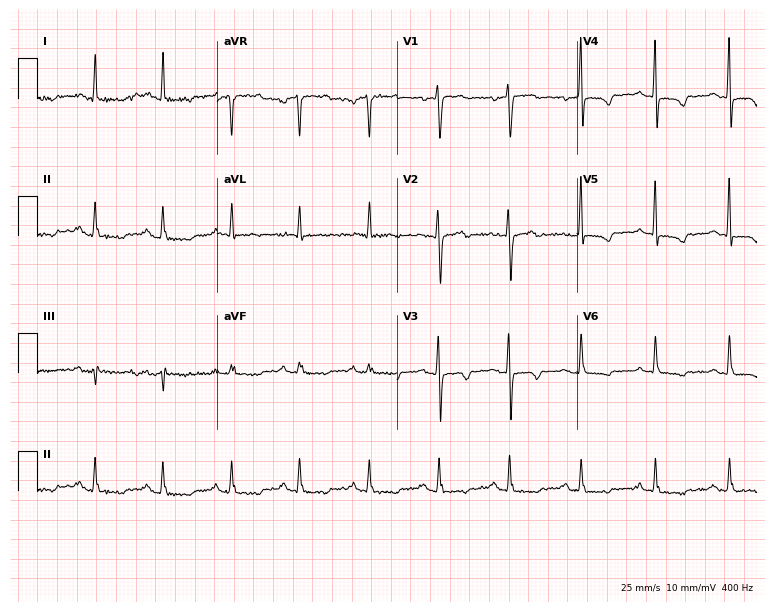
12-lead ECG (7.3-second recording at 400 Hz) from a 66-year-old woman. Screened for six findings — first-degree AV block, right bundle branch block, left bundle branch block, sinus bradycardia, atrial fibrillation, sinus tachycardia — none is recorded. Only these six findings were labelled.